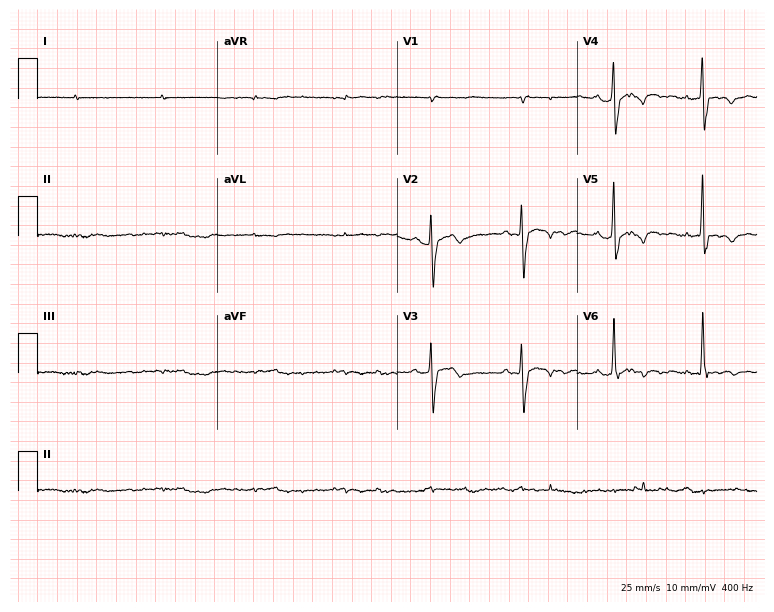
Standard 12-lead ECG recorded from a 65-year-old female (7.3-second recording at 400 Hz). None of these six findings is recorded: first-degree AV block, right bundle branch block (RBBB), left bundle branch block (LBBB), sinus bradycardia, atrial fibrillation (AF), sinus tachycardia. Only these six findings were labelled.